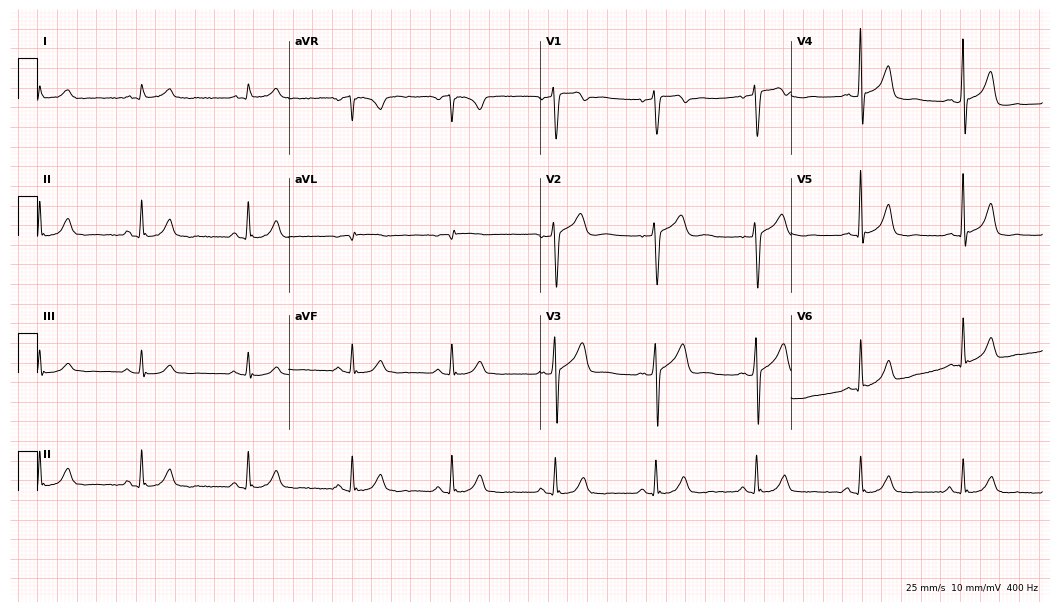
ECG (10.2-second recording at 400 Hz) — a male patient, 68 years old. Labelled as a normal ECG.